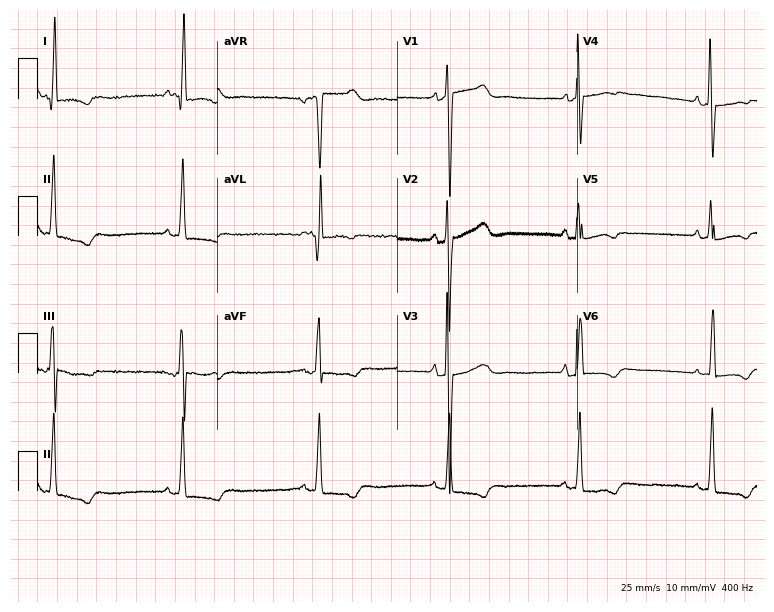
12-lead ECG (7.3-second recording at 400 Hz) from a 75-year-old female. Findings include sinus bradycardia (a sinus rate of 50 beats per minute or less).